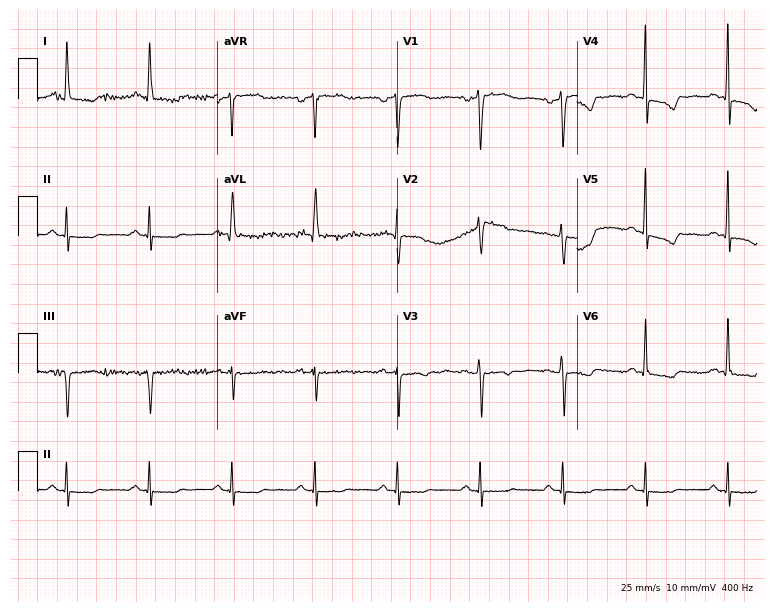
Standard 12-lead ECG recorded from a female patient, 77 years old. Read as a normal ECG.